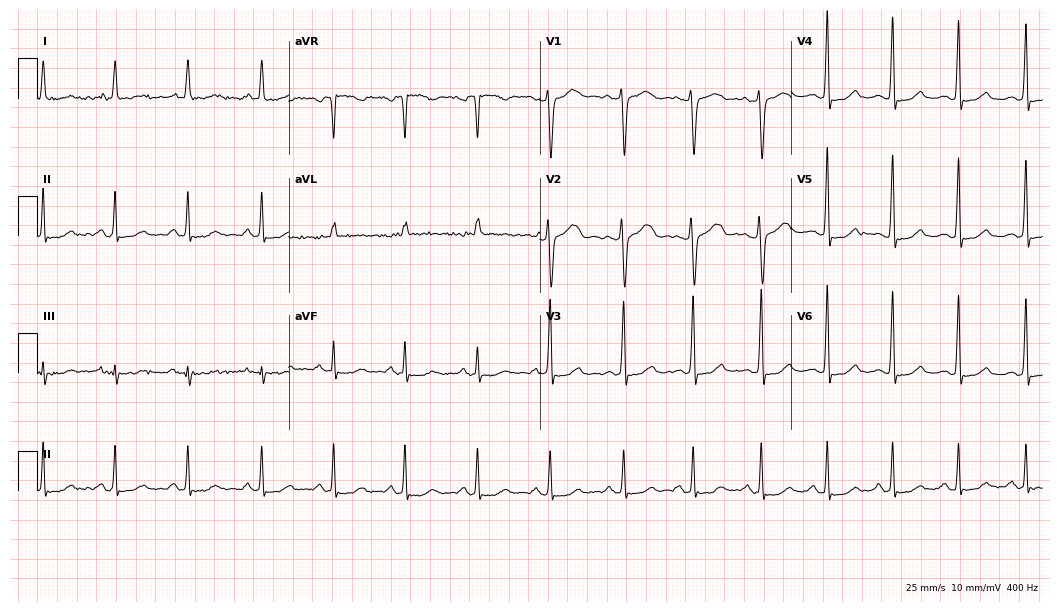
Electrocardiogram, a woman, 51 years old. Of the six screened findings (first-degree AV block, right bundle branch block, left bundle branch block, sinus bradycardia, atrial fibrillation, sinus tachycardia), none is recorded.